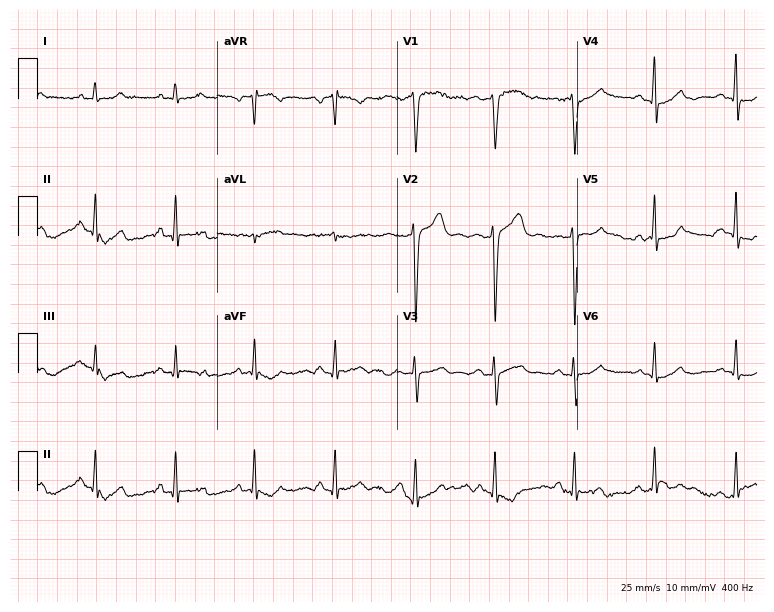
12-lead ECG from a female patient, 54 years old (7.3-second recording at 400 Hz). Recorded interpretation: within normal limits.